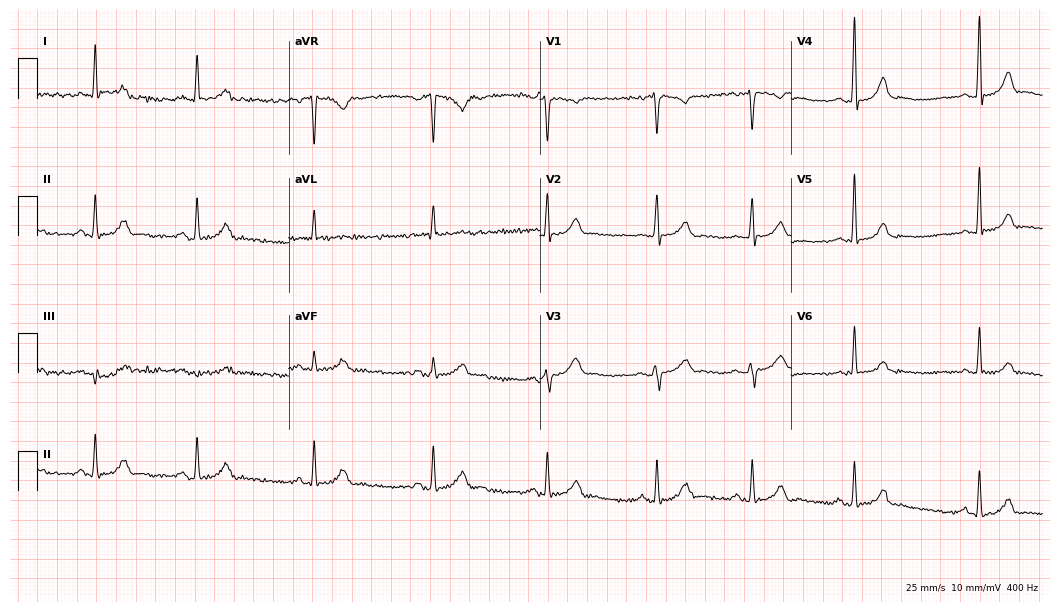
12-lead ECG (10.2-second recording at 400 Hz) from a 44-year-old woman. Labelled as a normal ECG.